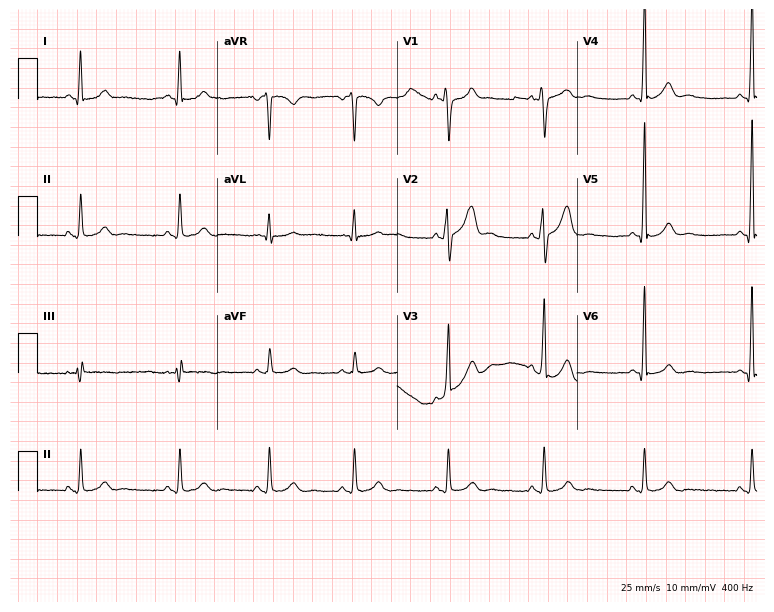
Resting 12-lead electrocardiogram (7.3-second recording at 400 Hz). Patient: a 30-year-old male. None of these six findings is recorded: first-degree AV block, right bundle branch block, left bundle branch block, sinus bradycardia, atrial fibrillation, sinus tachycardia.